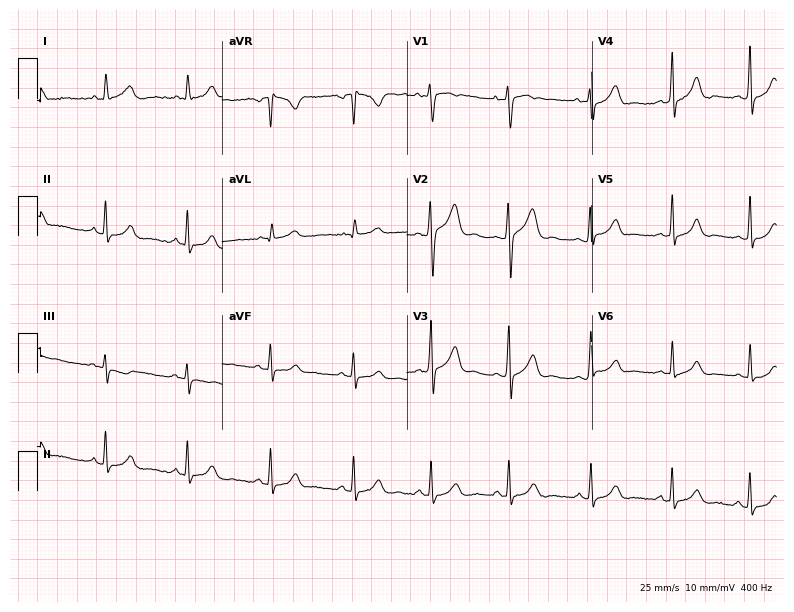
ECG (7.5-second recording at 400 Hz) — a female patient, 20 years old. Screened for six findings — first-degree AV block, right bundle branch block, left bundle branch block, sinus bradycardia, atrial fibrillation, sinus tachycardia — none is recorded.